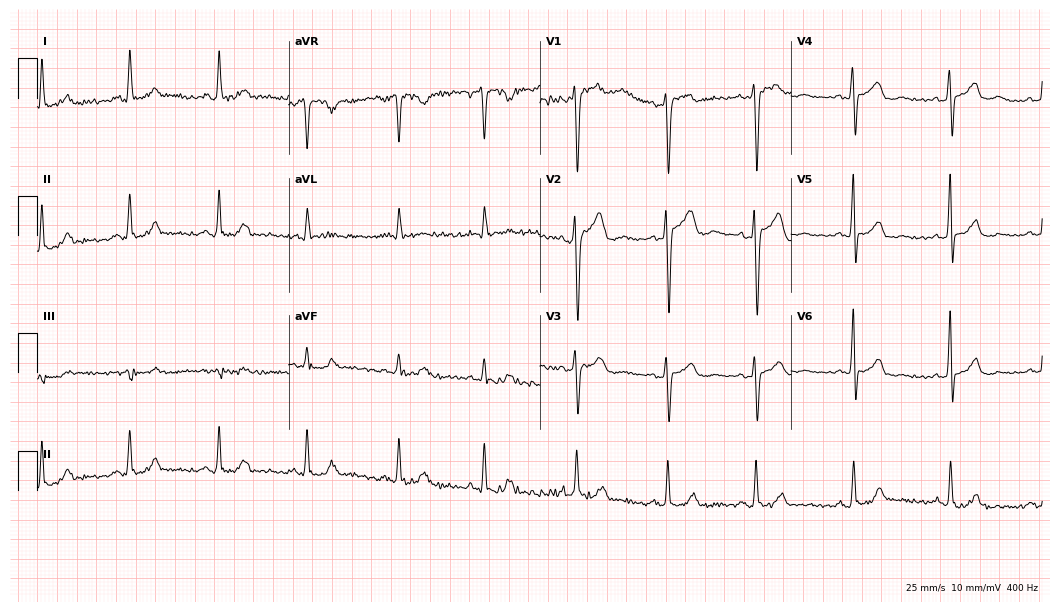
12-lead ECG from a woman, 35 years old. Labelled as a normal ECG.